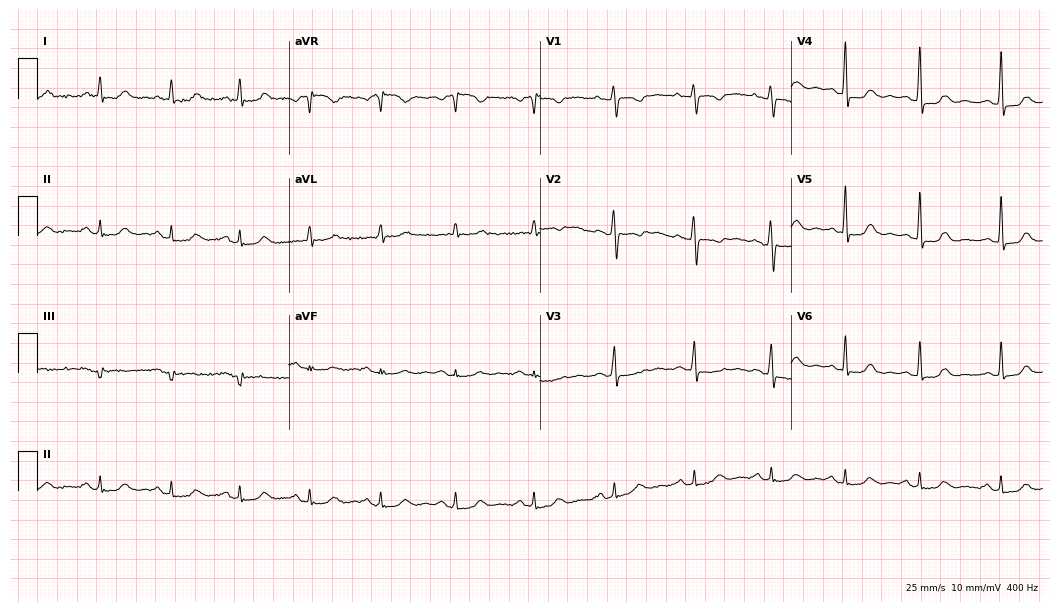
12-lead ECG (10.2-second recording at 400 Hz) from a woman, 59 years old. Screened for six findings — first-degree AV block, right bundle branch block, left bundle branch block, sinus bradycardia, atrial fibrillation, sinus tachycardia — none is recorded. Only these six findings were labelled.